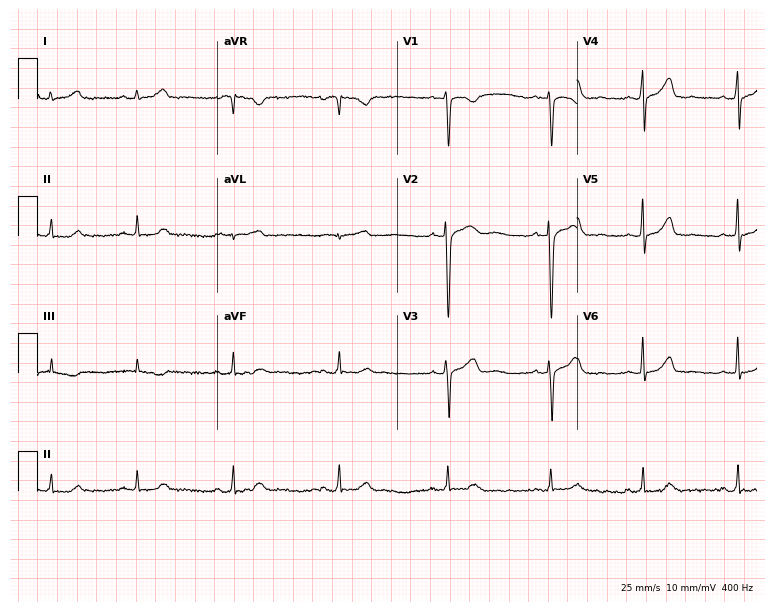
12-lead ECG from a 29-year-old female patient (7.3-second recording at 400 Hz). Recorded interpretation: within normal limits.